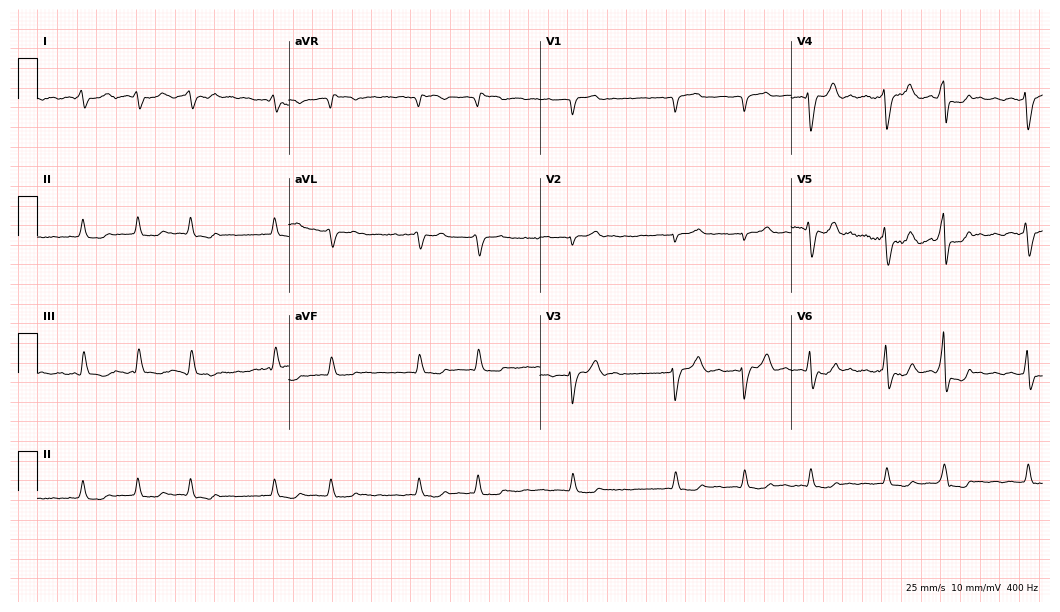
ECG — a 73-year-old male patient. Findings include atrial fibrillation (AF).